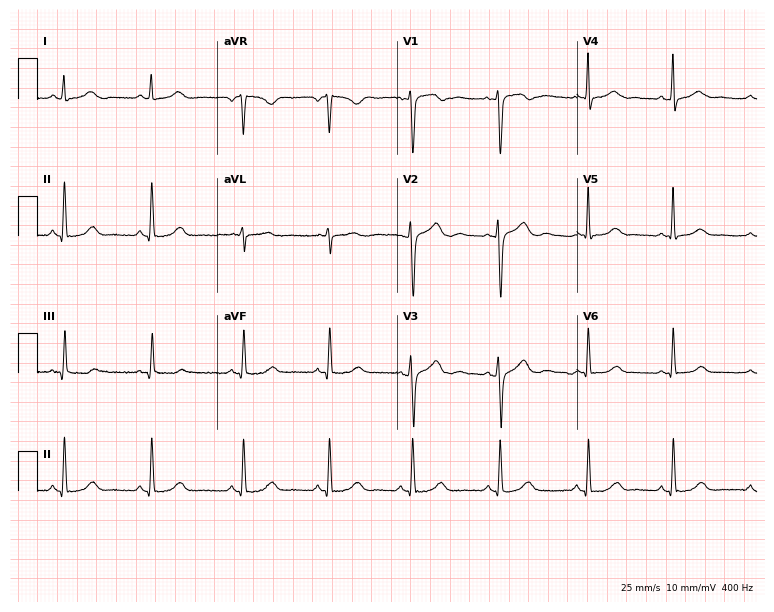
Standard 12-lead ECG recorded from a 27-year-old female. Read as a normal ECG.